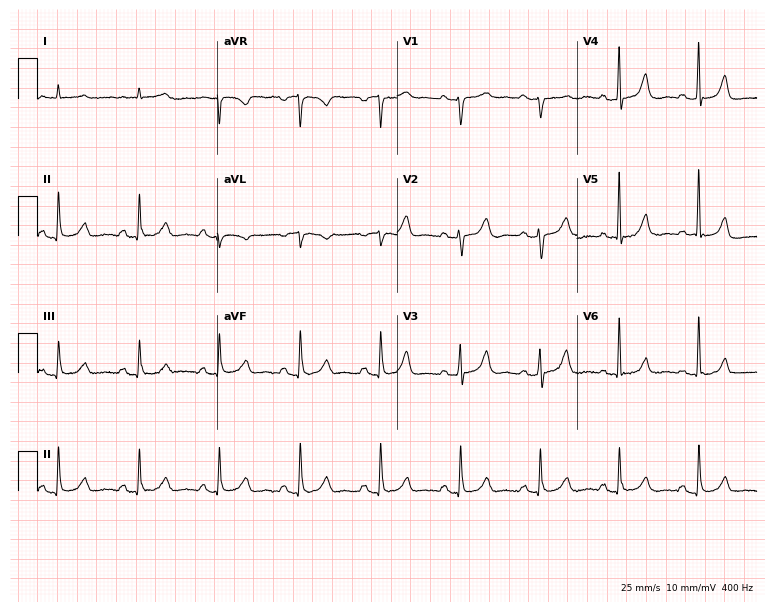
Electrocardiogram, a male, 77 years old. Of the six screened findings (first-degree AV block, right bundle branch block, left bundle branch block, sinus bradycardia, atrial fibrillation, sinus tachycardia), none is recorded.